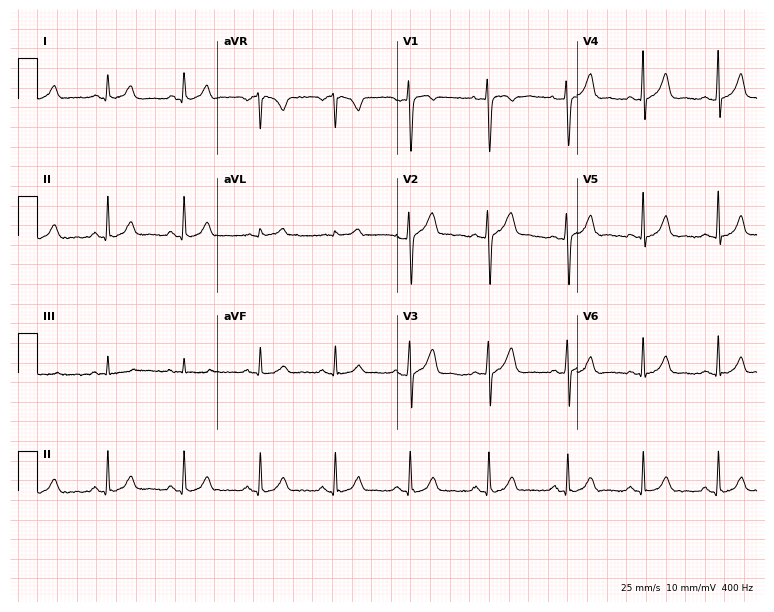
Electrocardiogram (7.3-second recording at 400 Hz), a woman, 27 years old. Overall reading on record: normal ECG.